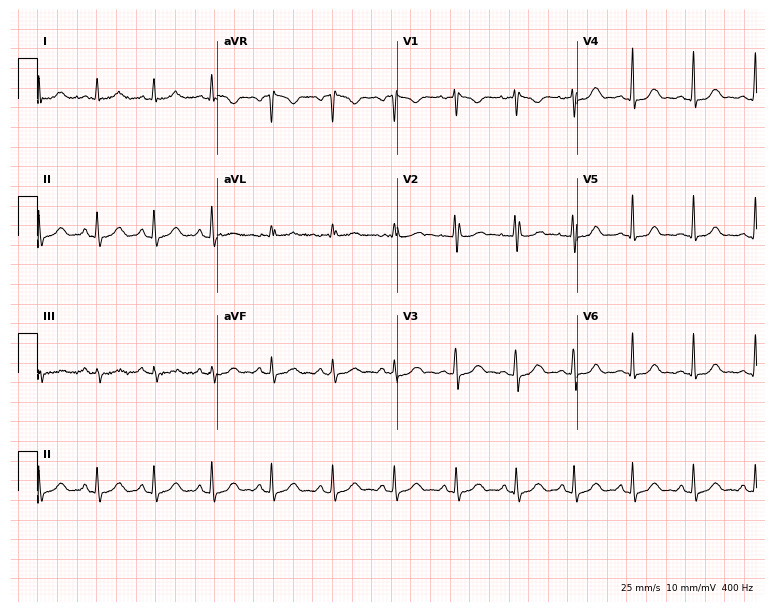
Standard 12-lead ECG recorded from a woman, 25 years old. None of these six findings is recorded: first-degree AV block, right bundle branch block (RBBB), left bundle branch block (LBBB), sinus bradycardia, atrial fibrillation (AF), sinus tachycardia.